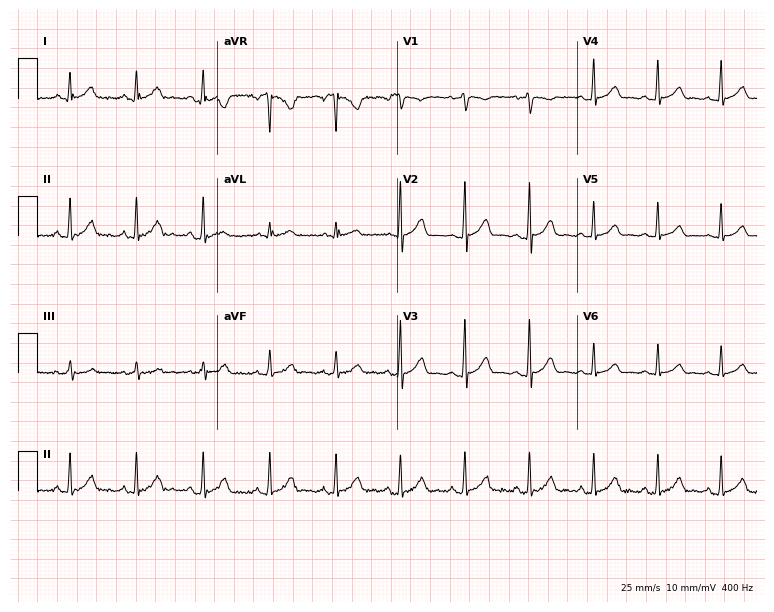
12-lead ECG (7.3-second recording at 400 Hz) from a female patient, 24 years old. Screened for six findings — first-degree AV block, right bundle branch block (RBBB), left bundle branch block (LBBB), sinus bradycardia, atrial fibrillation (AF), sinus tachycardia — none is recorded.